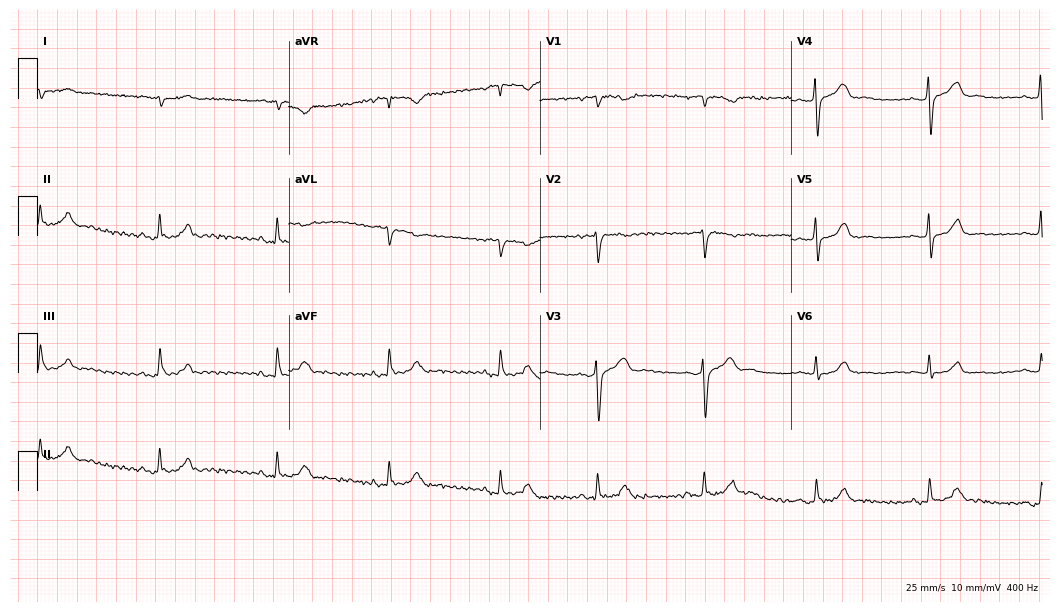
Resting 12-lead electrocardiogram (10.2-second recording at 400 Hz). Patient: a male, 55 years old. None of these six findings is recorded: first-degree AV block, right bundle branch block, left bundle branch block, sinus bradycardia, atrial fibrillation, sinus tachycardia. Other findings, if any, are not listed.